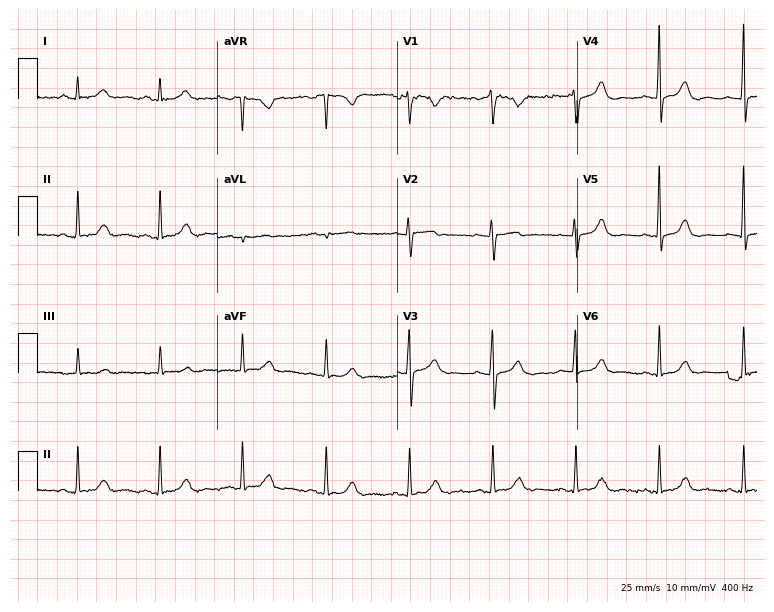
12-lead ECG from a female, 43 years old. Recorded interpretation: within normal limits.